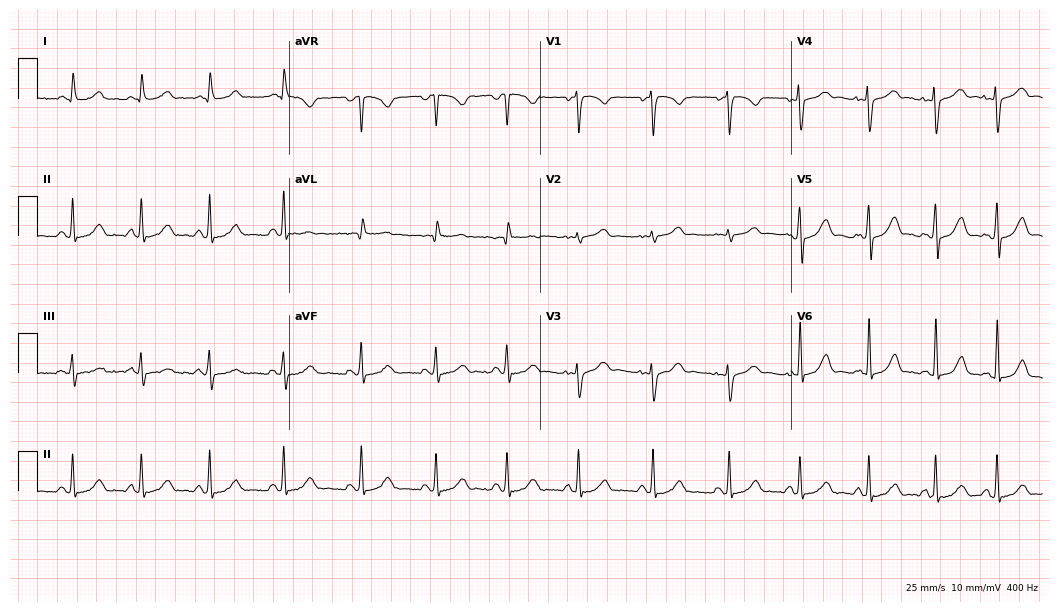
Standard 12-lead ECG recorded from a 34-year-old woman (10.2-second recording at 400 Hz). Read as a normal ECG.